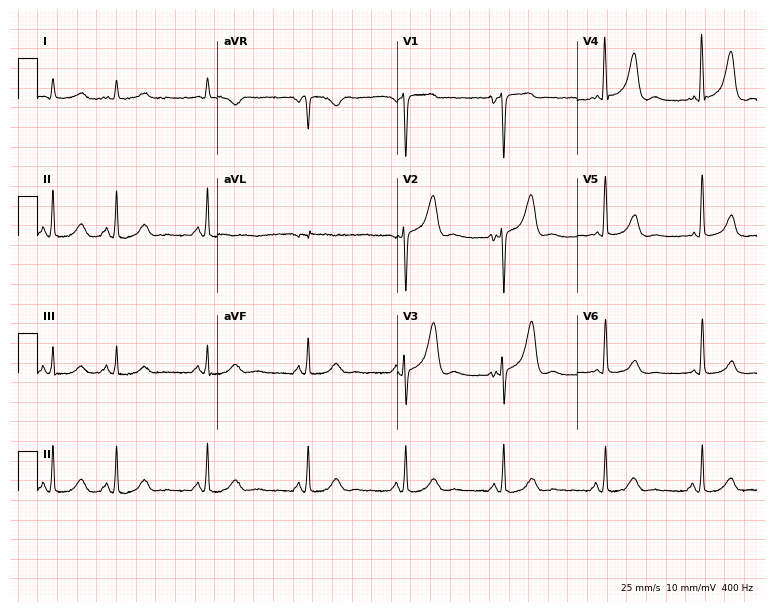
ECG — a 78-year-old male patient. Screened for six findings — first-degree AV block, right bundle branch block, left bundle branch block, sinus bradycardia, atrial fibrillation, sinus tachycardia — none is recorded. Other findings, if any, are not listed.